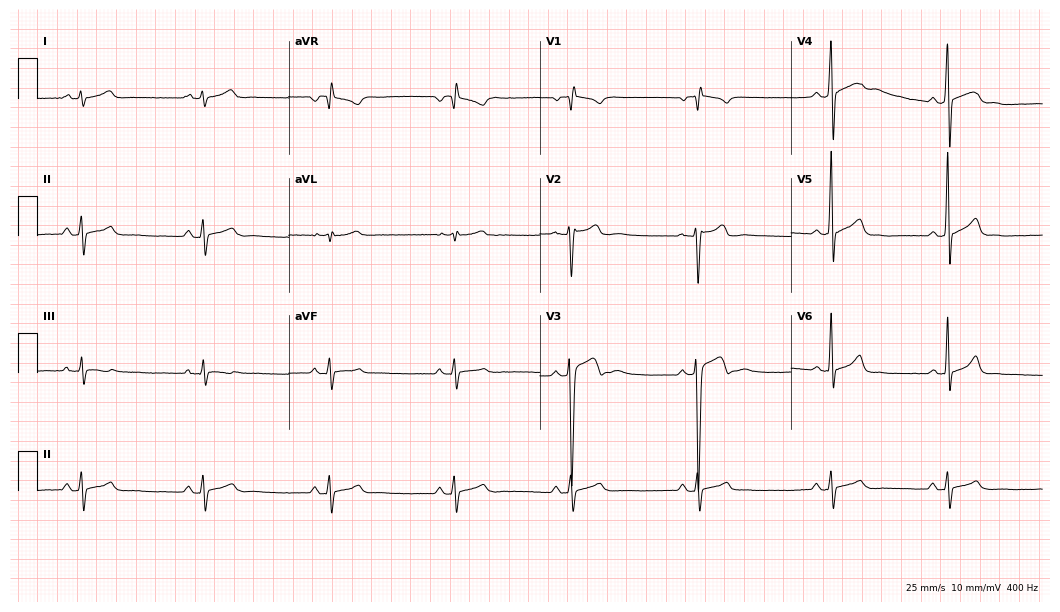
Standard 12-lead ECG recorded from a male patient, 22 years old (10.2-second recording at 400 Hz). Read as a normal ECG.